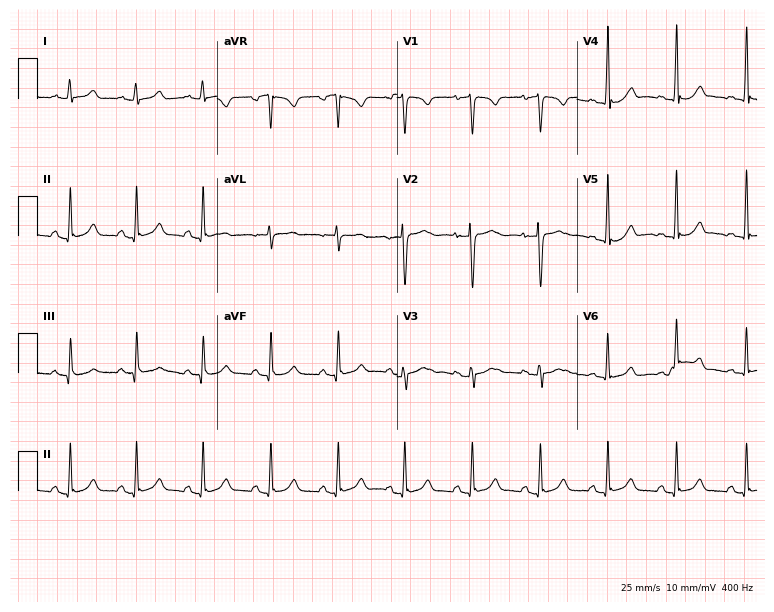
ECG — a 26-year-old female. Screened for six findings — first-degree AV block, right bundle branch block, left bundle branch block, sinus bradycardia, atrial fibrillation, sinus tachycardia — none is recorded. Only these six findings were labelled.